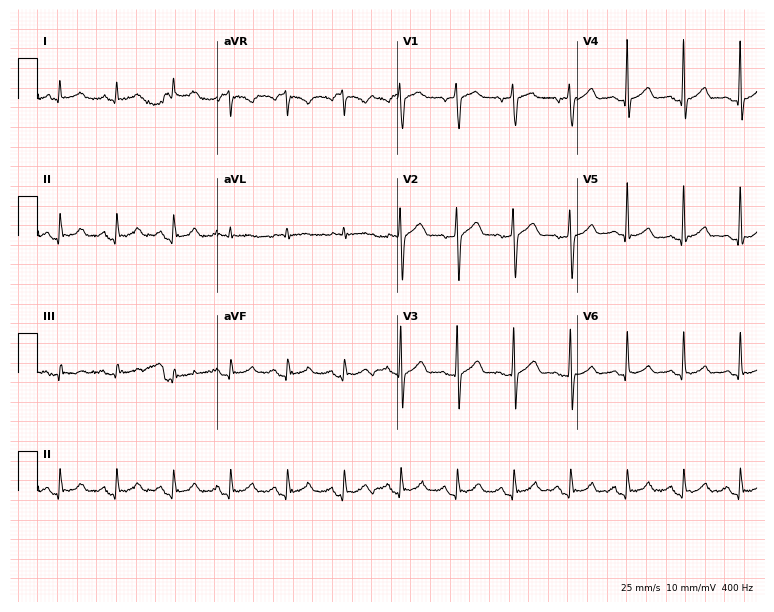
12-lead ECG (7.3-second recording at 400 Hz) from a 61-year-old man. Findings include sinus tachycardia (a sinus rate of 100 beats per minute or more).